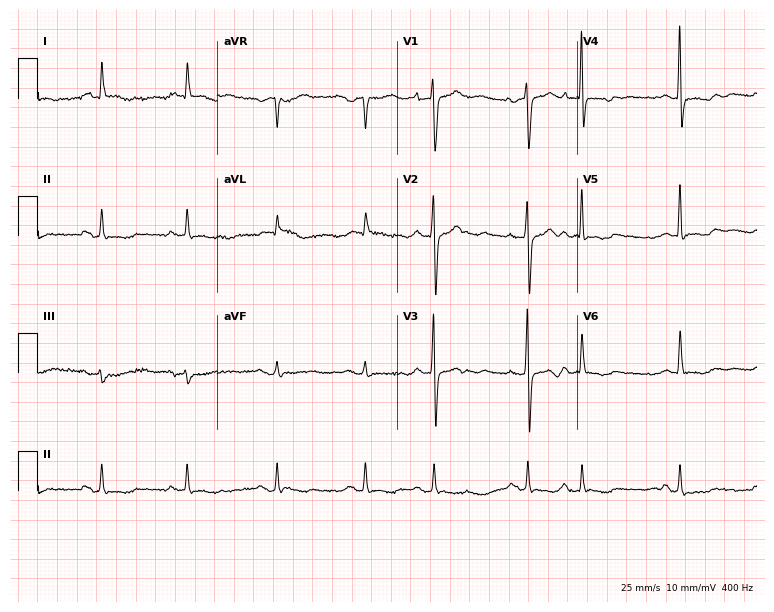
Resting 12-lead electrocardiogram. Patient: a 74-year-old woman. None of these six findings is recorded: first-degree AV block, right bundle branch block, left bundle branch block, sinus bradycardia, atrial fibrillation, sinus tachycardia.